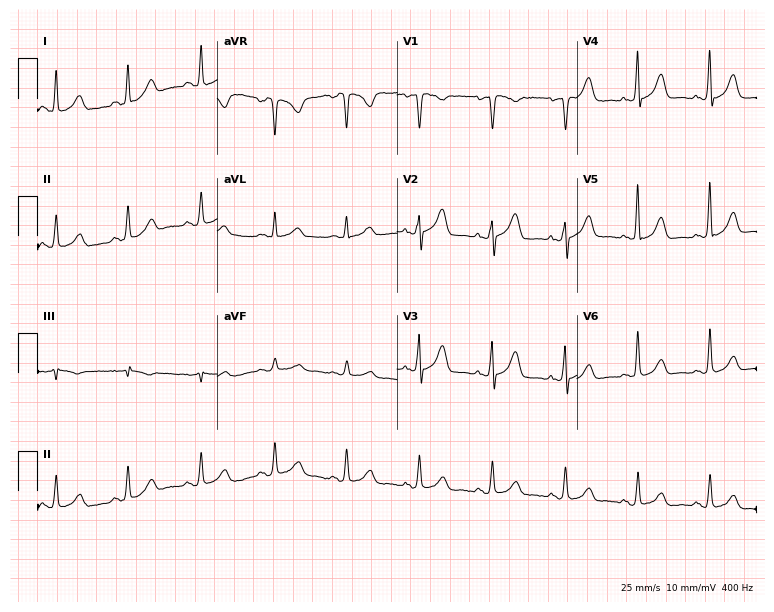
Electrocardiogram, a female patient, 47 years old. Of the six screened findings (first-degree AV block, right bundle branch block, left bundle branch block, sinus bradycardia, atrial fibrillation, sinus tachycardia), none is recorded.